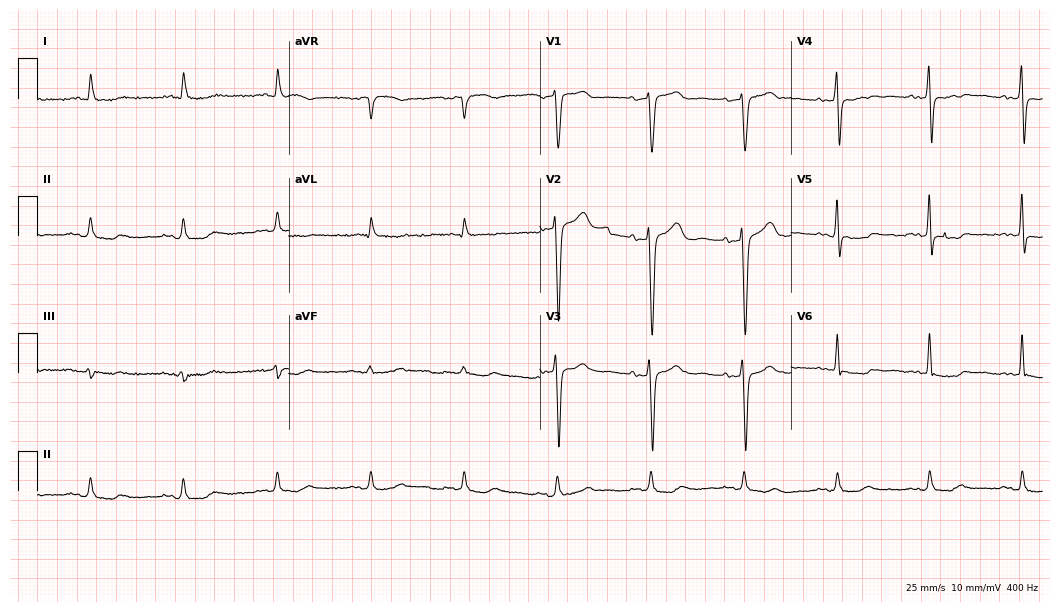
Electrocardiogram (10.2-second recording at 400 Hz), a 66-year-old woman. Of the six screened findings (first-degree AV block, right bundle branch block, left bundle branch block, sinus bradycardia, atrial fibrillation, sinus tachycardia), none is recorded. Findings outside these six are not listed.